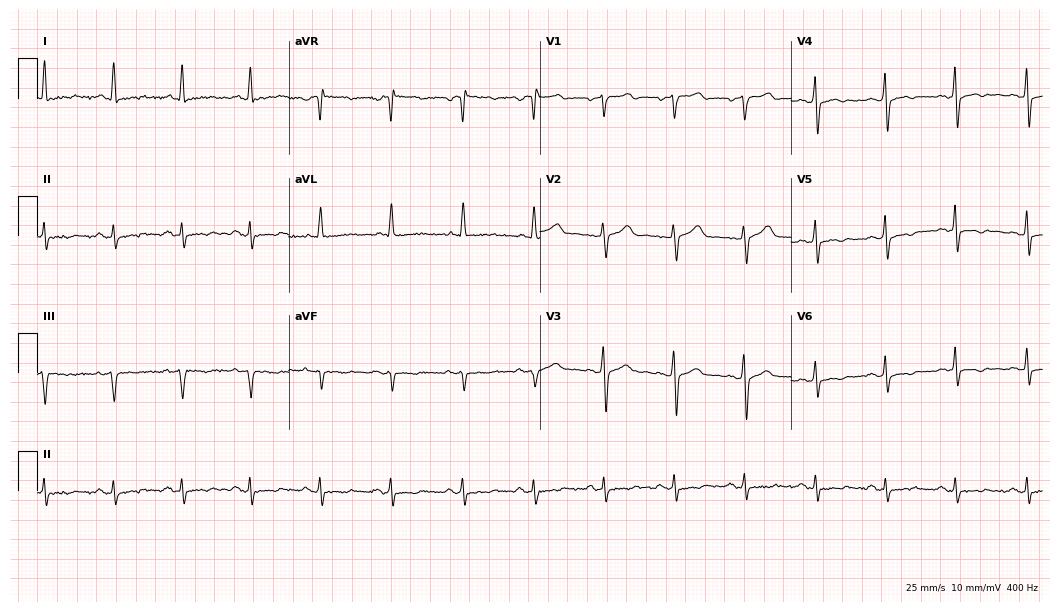
Electrocardiogram (10.2-second recording at 400 Hz), a man, 49 years old. Overall reading on record: normal ECG.